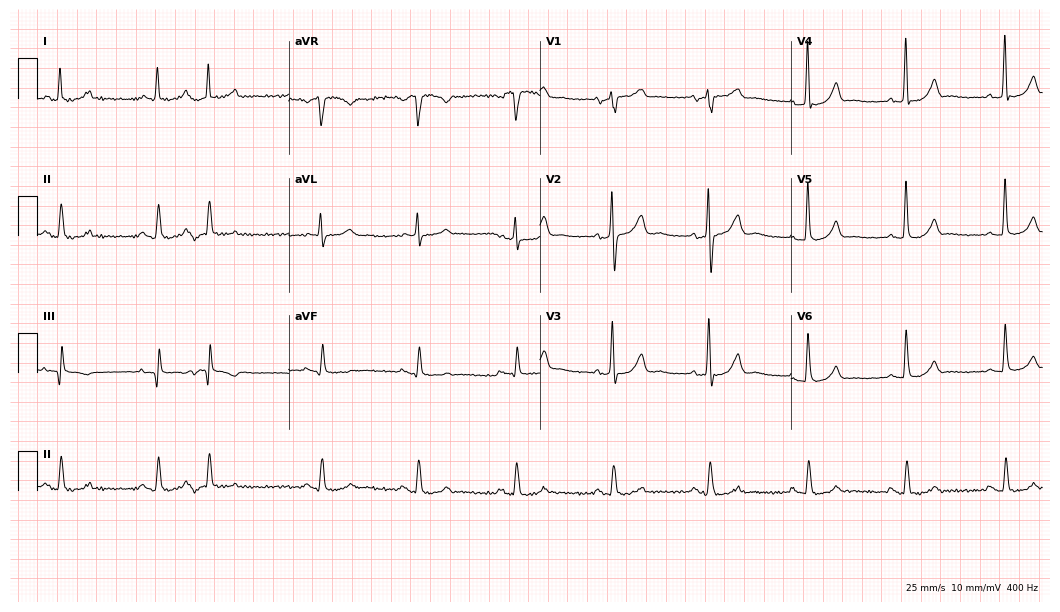
Resting 12-lead electrocardiogram (10.2-second recording at 400 Hz). Patient: a 61-year-old man. None of these six findings is recorded: first-degree AV block, right bundle branch block (RBBB), left bundle branch block (LBBB), sinus bradycardia, atrial fibrillation (AF), sinus tachycardia.